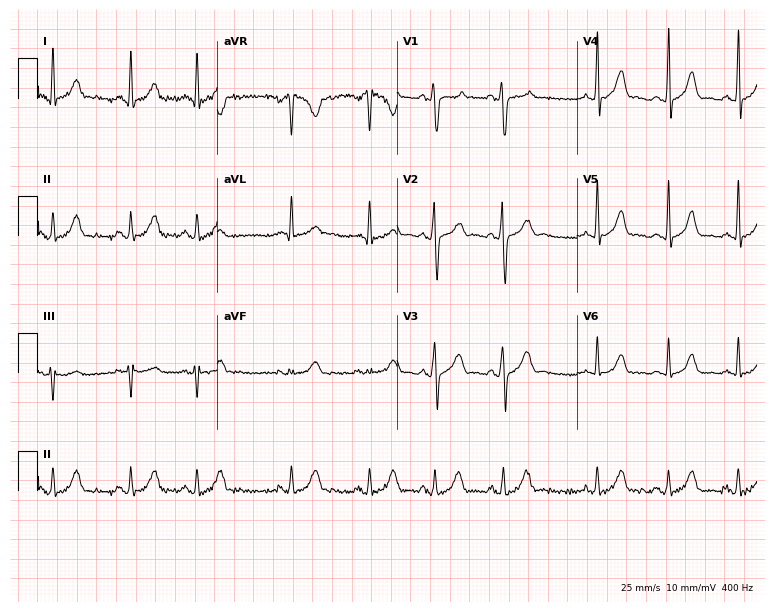
Electrocardiogram (7.3-second recording at 400 Hz), a 24-year-old female patient. Of the six screened findings (first-degree AV block, right bundle branch block, left bundle branch block, sinus bradycardia, atrial fibrillation, sinus tachycardia), none is recorded. Only these six findings were labelled.